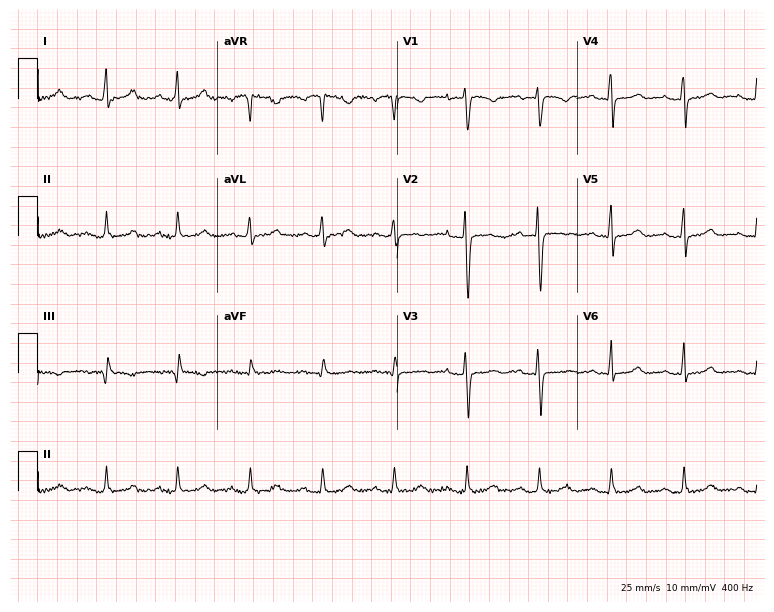
Resting 12-lead electrocardiogram. Patient: a 37-year-old female. Read as a normal ECG.